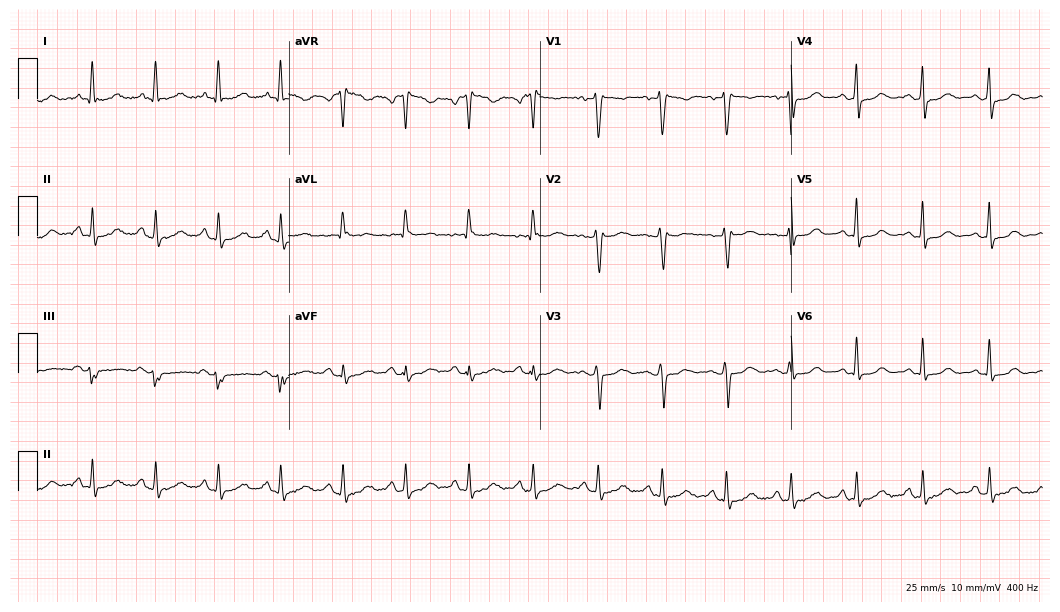
12-lead ECG from a 49-year-old woman. Screened for six findings — first-degree AV block, right bundle branch block, left bundle branch block, sinus bradycardia, atrial fibrillation, sinus tachycardia — none is recorded.